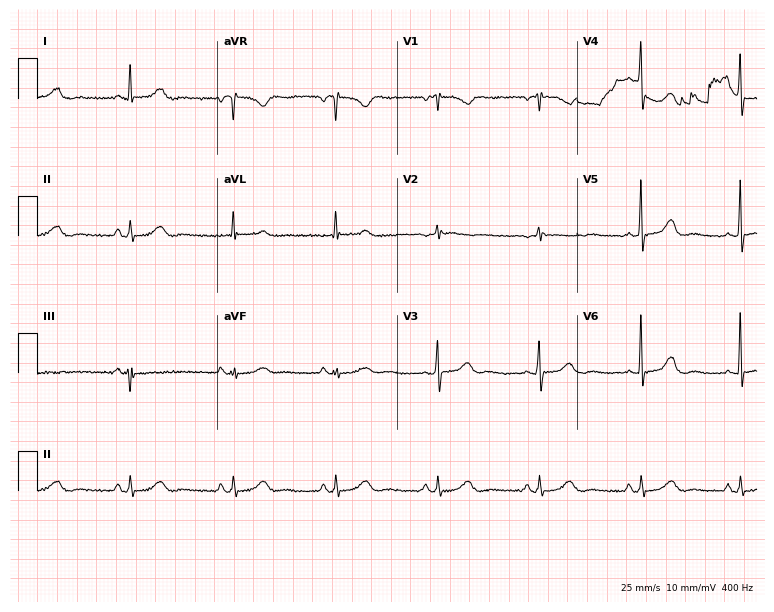
Resting 12-lead electrocardiogram (7.3-second recording at 400 Hz). Patient: a 79-year-old female. Read as a normal ECG.